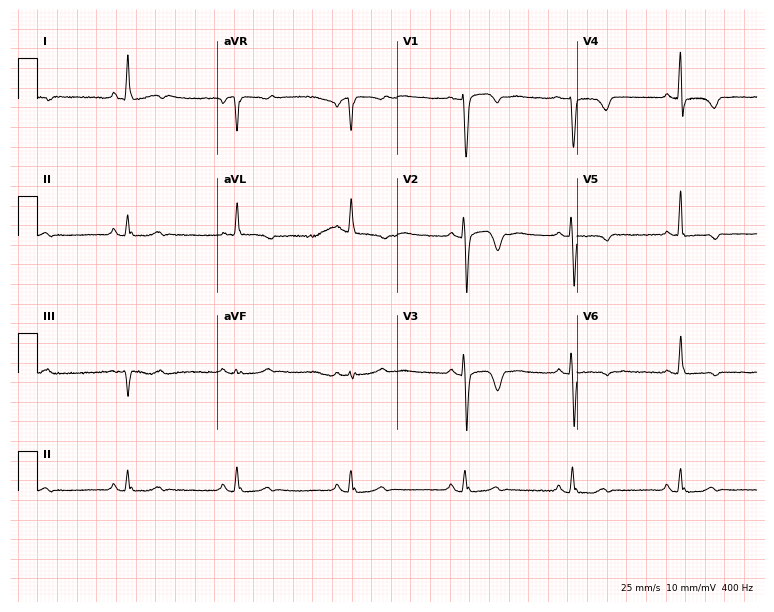
Resting 12-lead electrocardiogram (7.3-second recording at 400 Hz). Patient: a female, 75 years old. None of these six findings is recorded: first-degree AV block, right bundle branch block (RBBB), left bundle branch block (LBBB), sinus bradycardia, atrial fibrillation (AF), sinus tachycardia.